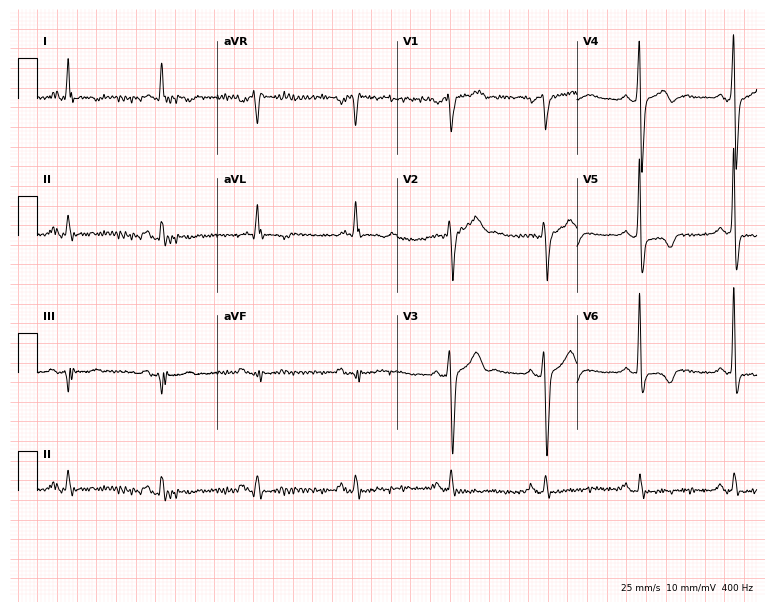
Electrocardiogram, a 67-year-old male patient. Of the six screened findings (first-degree AV block, right bundle branch block (RBBB), left bundle branch block (LBBB), sinus bradycardia, atrial fibrillation (AF), sinus tachycardia), none is recorded. Findings outside these six are not listed.